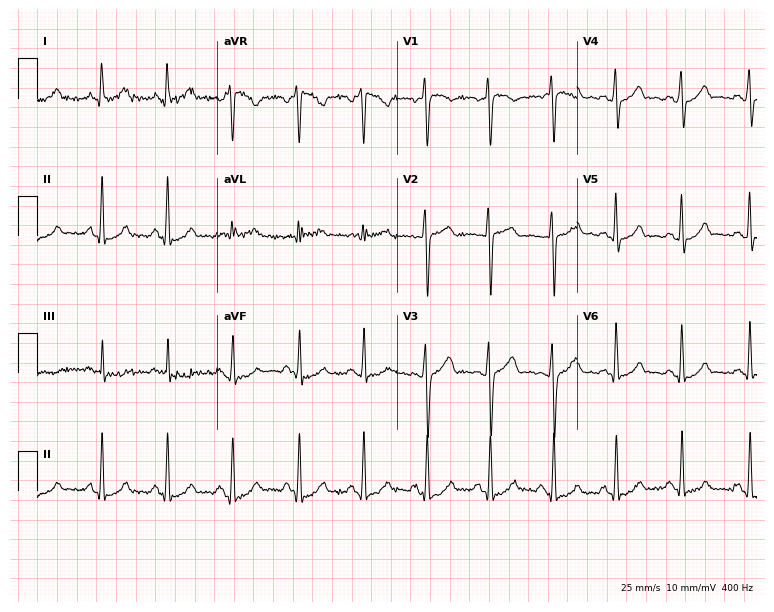
Electrocardiogram (7.3-second recording at 400 Hz), a female, 25 years old. Overall reading on record: normal ECG.